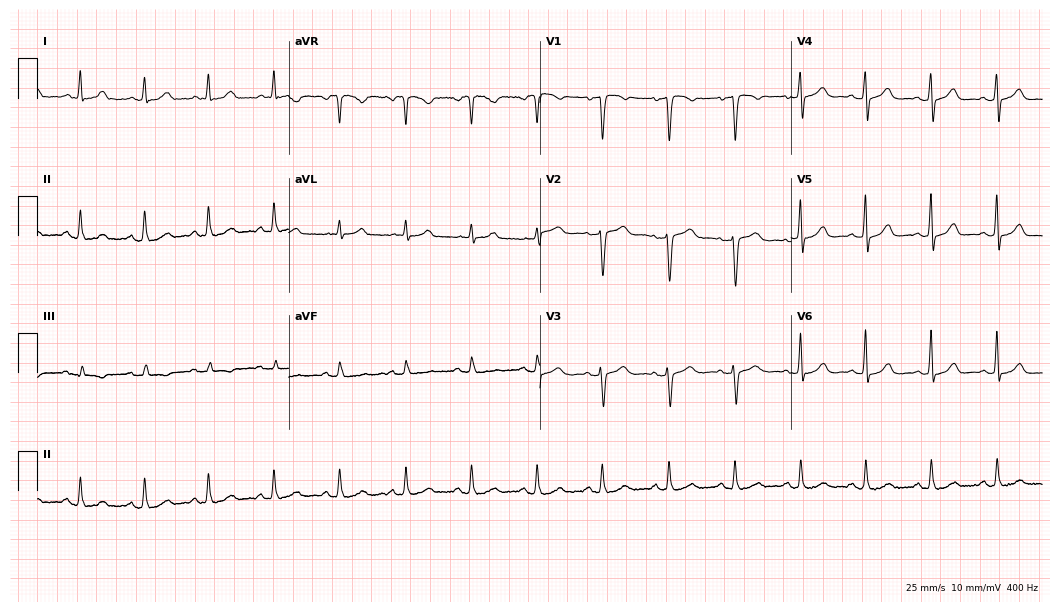
Electrocardiogram (10.2-second recording at 400 Hz), a female patient, 45 years old. Overall reading on record: normal ECG.